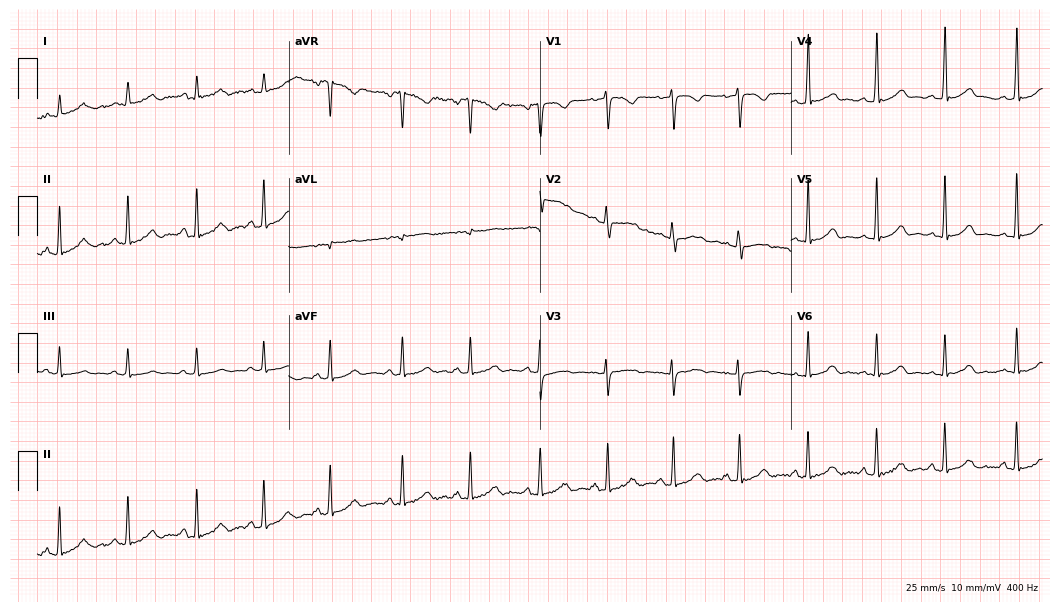
Resting 12-lead electrocardiogram (10.2-second recording at 400 Hz). Patient: a female, 18 years old. Read as a normal ECG.